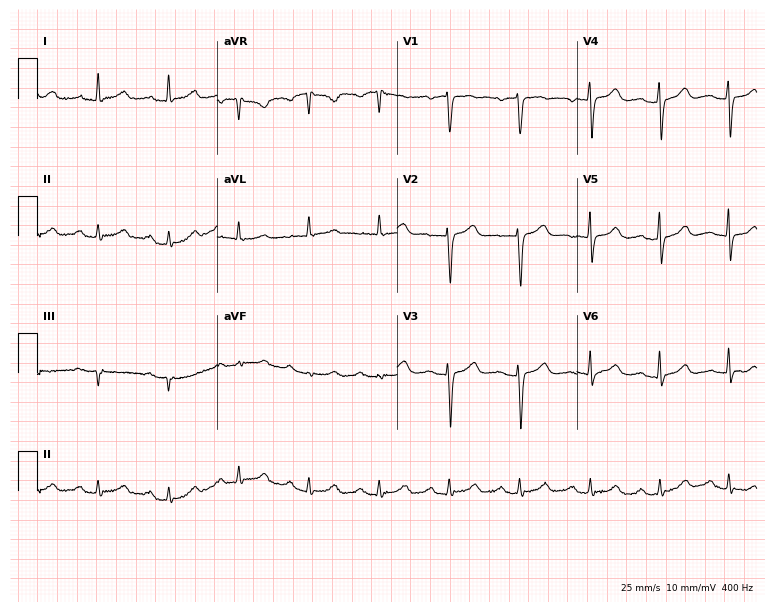
Electrocardiogram, a 64-year-old female. Overall reading on record: normal ECG.